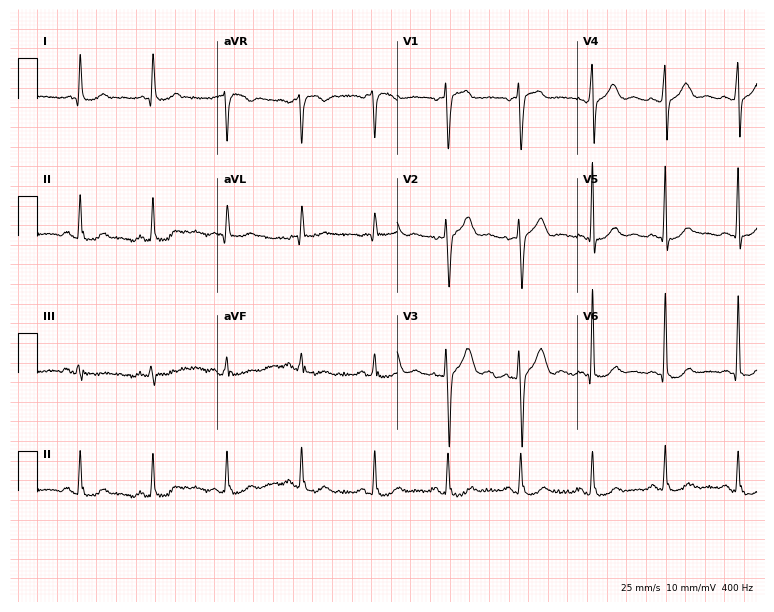
Resting 12-lead electrocardiogram. Patient: a male, 59 years old. None of these six findings is recorded: first-degree AV block, right bundle branch block, left bundle branch block, sinus bradycardia, atrial fibrillation, sinus tachycardia. Only these six findings were labelled.